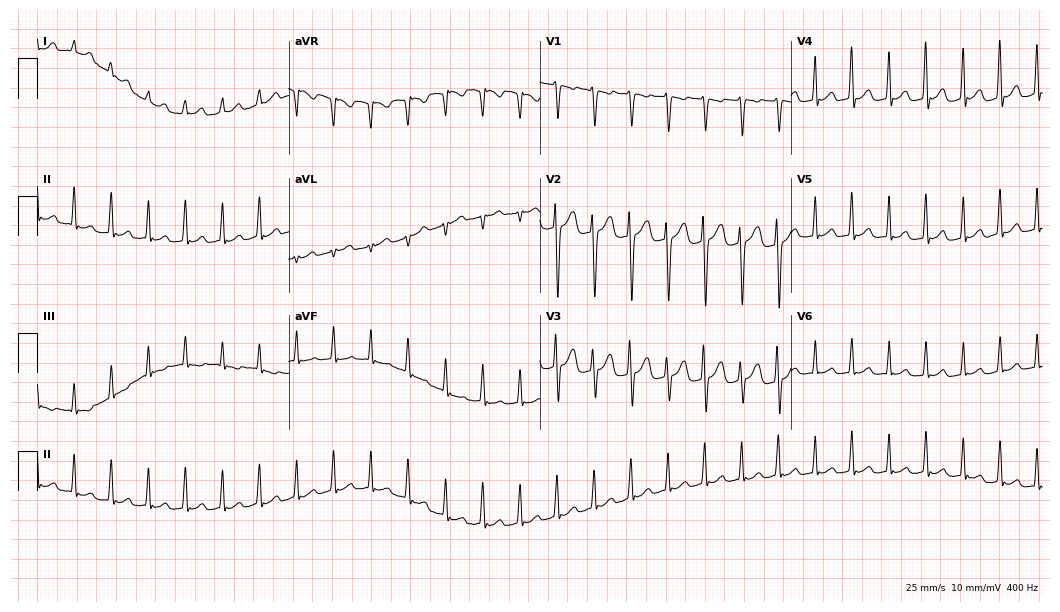
Resting 12-lead electrocardiogram. Patient: a 20-year-old woman. The tracing shows sinus tachycardia (a sinus rate of 100 beats per minute or more).